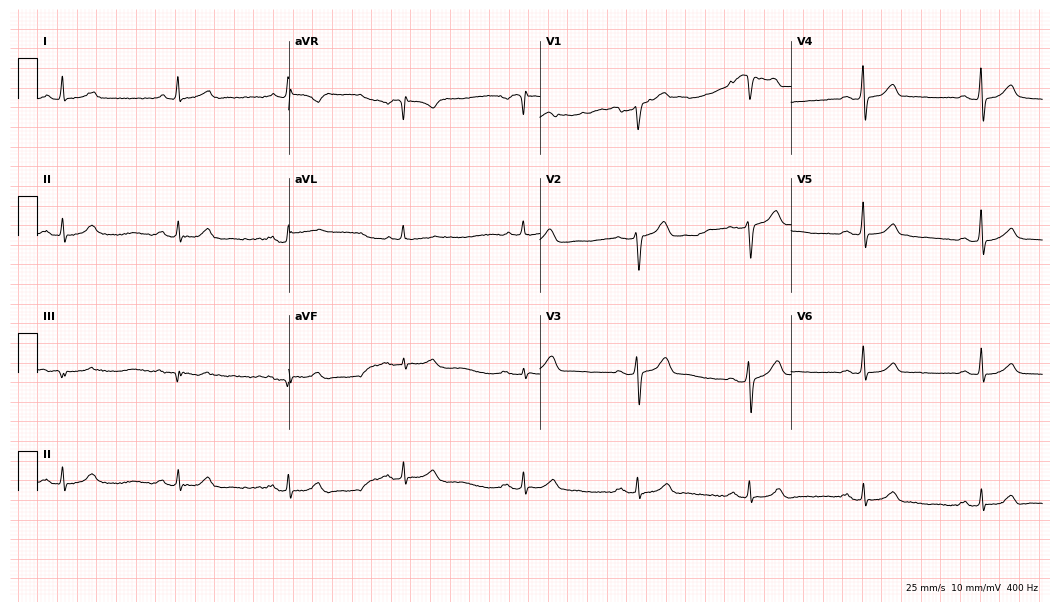
12-lead ECG from a 59-year-old male patient. Recorded interpretation: within normal limits.